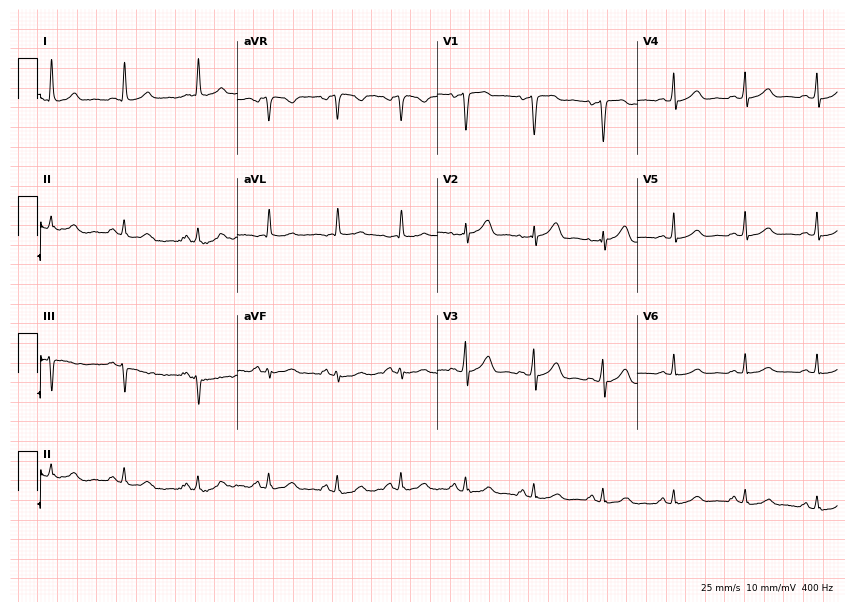
12-lead ECG (8.2-second recording at 400 Hz) from a 53-year-old female patient. Labelled as a normal ECG.